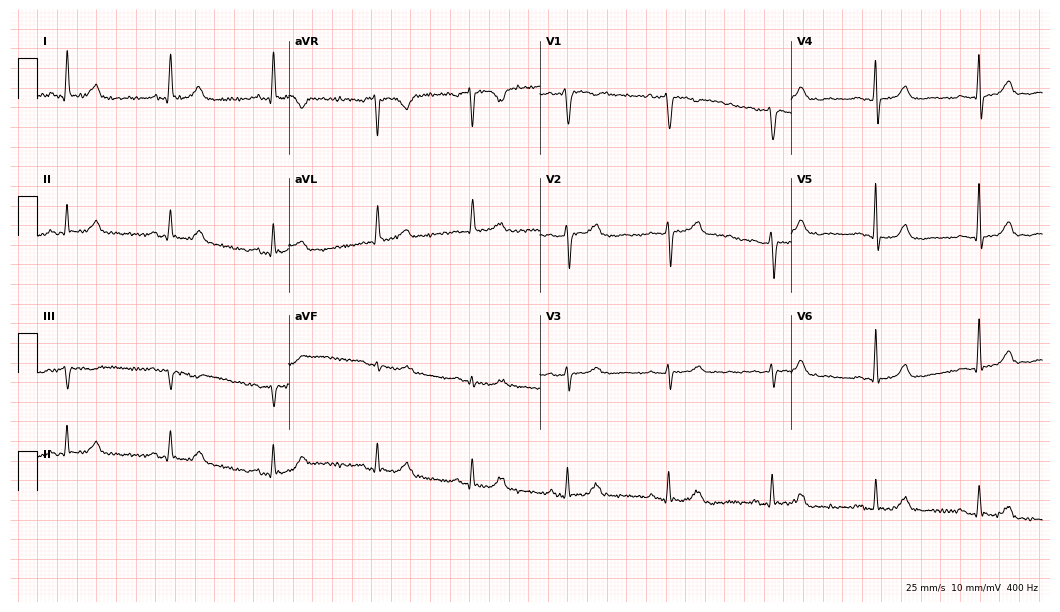
Standard 12-lead ECG recorded from a female patient, 83 years old (10.2-second recording at 400 Hz). Read as a normal ECG.